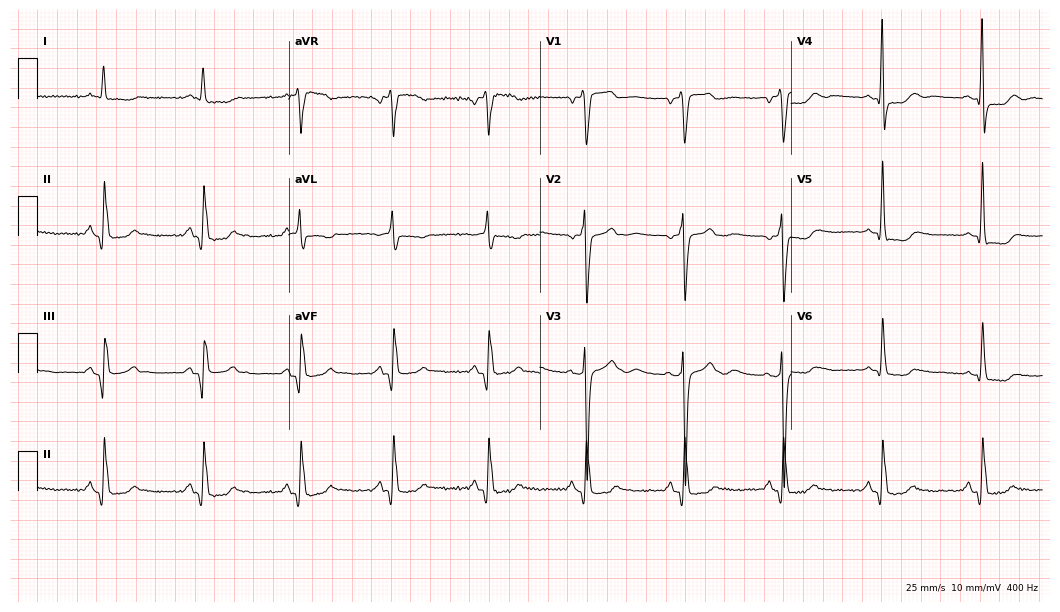
Resting 12-lead electrocardiogram (10.2-second recording at 400 Hz). Patient: a 56-year-old man. None of these six findings is recorded: first-degree AV block, right bundle branch block, left bundle branch block, sinus bradycardia, atrial fibrillation, sinus tachycardia.